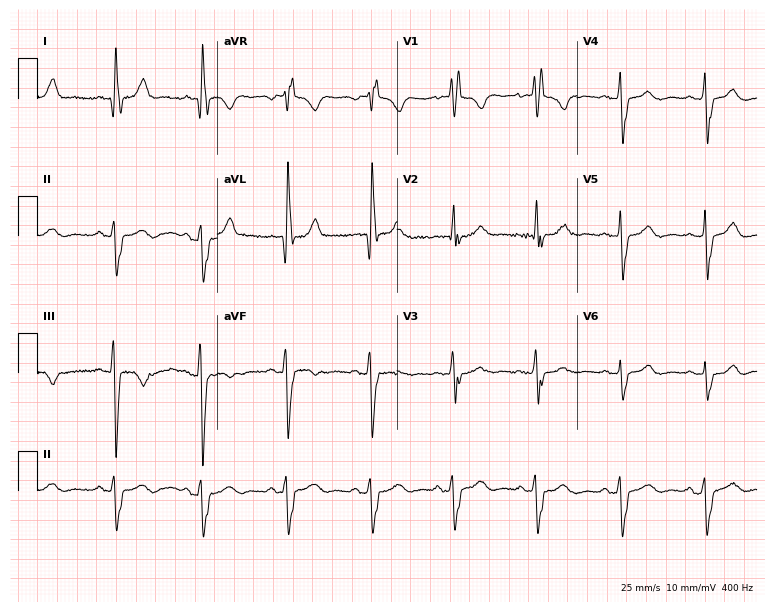
ECG (7.3-second recording at 400 Hz) — a female, 60 years old. Findings include right bundle branch block.